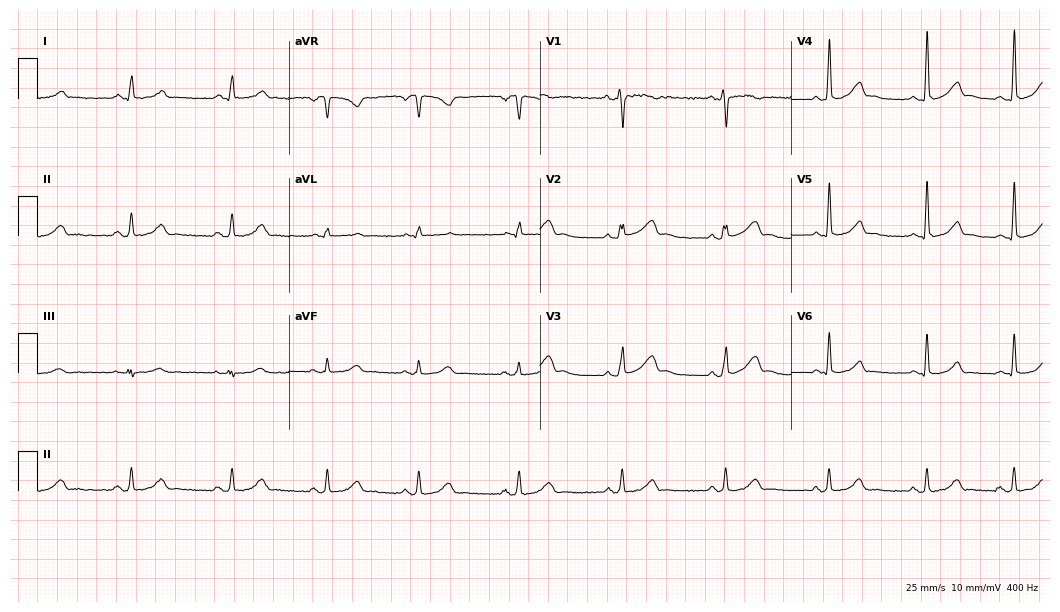
ECG — a female patient, 22 years old. Labelled as a normal ECG.